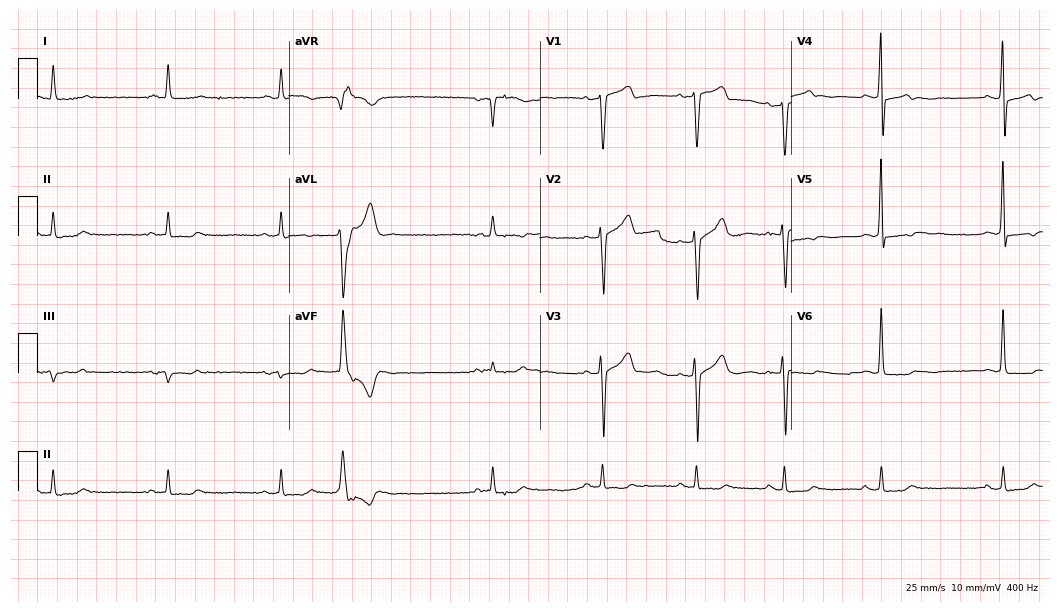
12-lead ECG (10.2-second recording at 400 Hz) from a male, 65 years old. Screened for six findings — first-degree AV block, right bundle branch block, left bundle branch block, sinus bradycardia, atrial fibrillation, sinus tachycardia — none is recorded. Other findings, if any, are not listed.